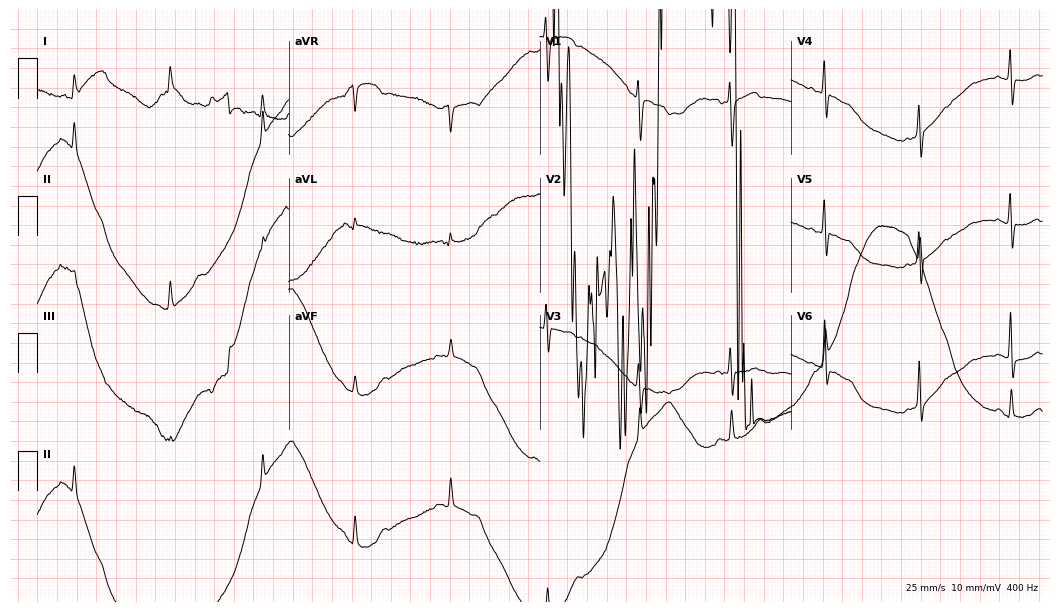
Electrocardiogram (10.2-second recording at 400 Hz), a 78-year-old woman. Of the six screened findings (first-degree AV block, right bundle branch block, left bundle branch block, sinus bradycardia, atrial fibrillation, sinus tachycardia), none is recorded.